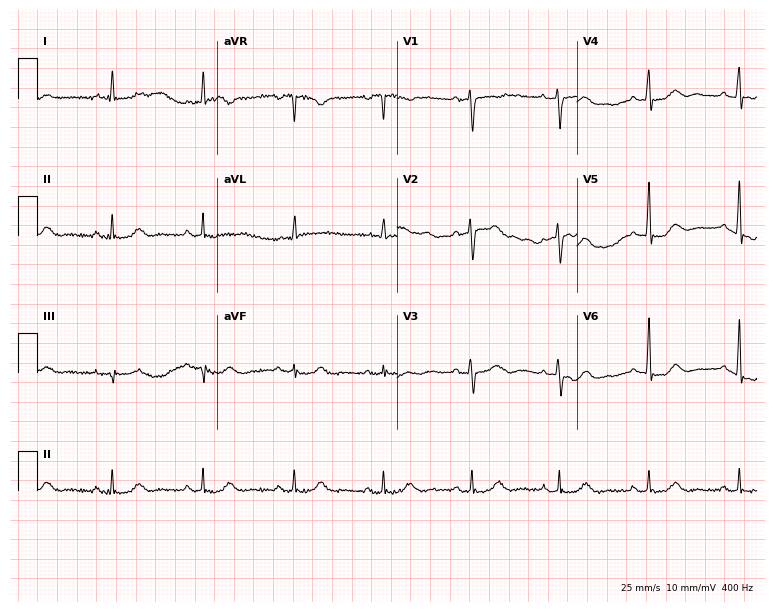
12-lead ECG from a woman, 63 years old. No first-degree AV block, right bundle branch block, left bundle branch block, sinus bradycardia, atrial fibrillation or sinus tachycardia recorded for this tracing. Other findings, if any, are not listed.